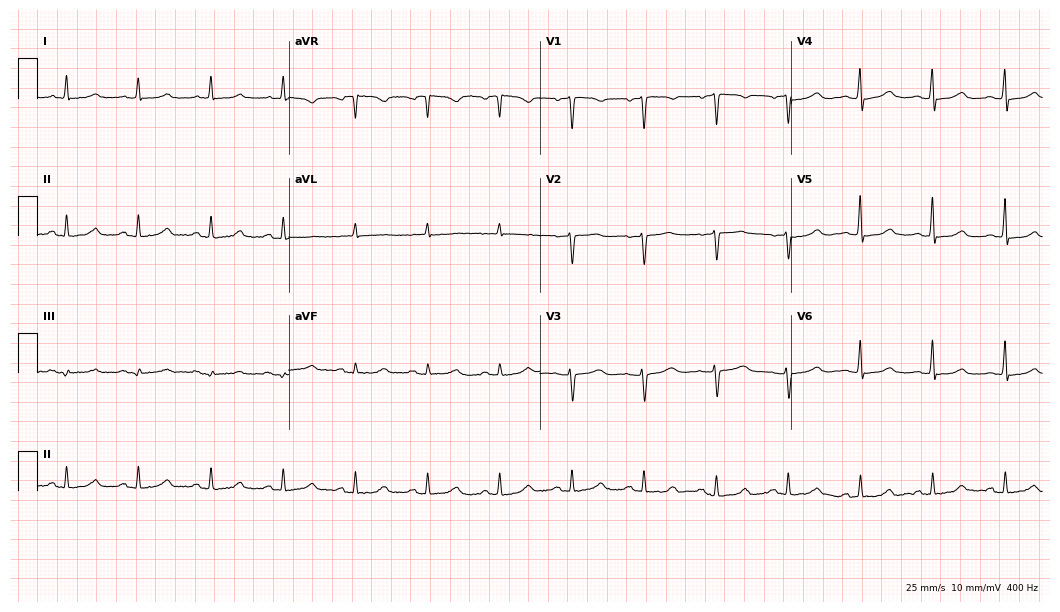
12-lead ECG from a female, 55 years old. Recorded interpretation: within normal limits.